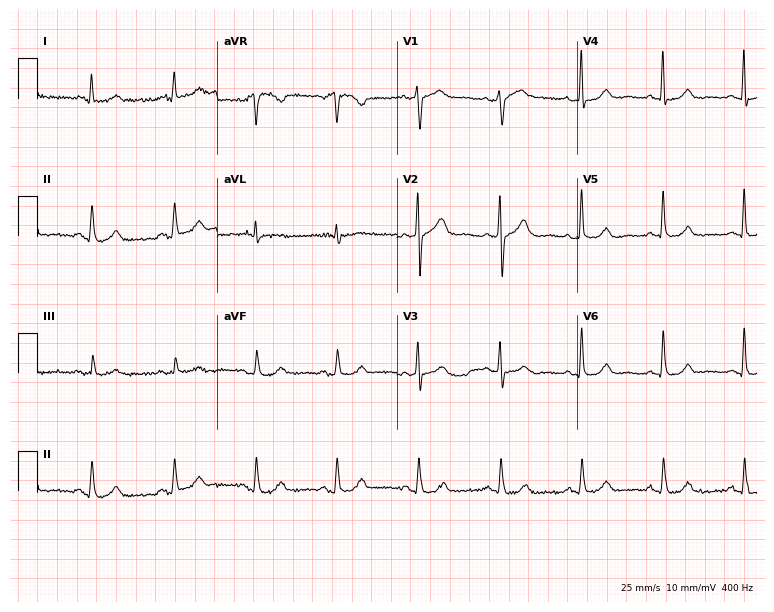
12-lead ECG (7.3-second recording at 400 Hz) from a 79-year-old woman. Labelled as a normal ECG.